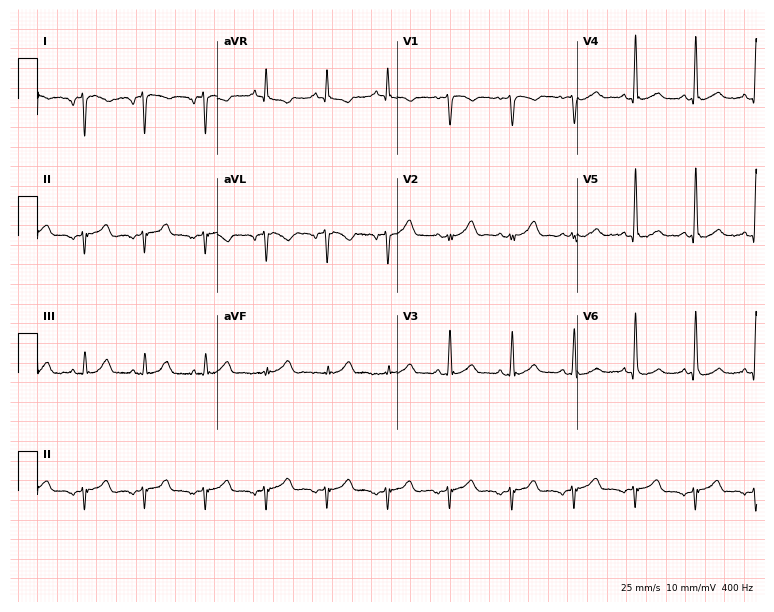
12-lead ECG (7.3-second recording at 400 Hz) from a woman, 52 years old. Labelled as a normal ECG.